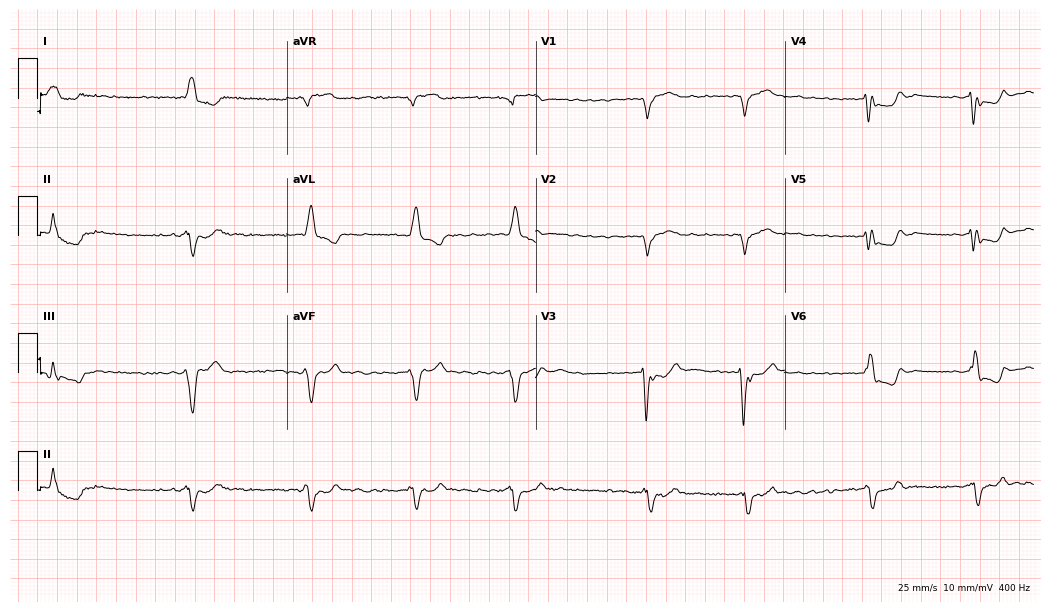
Standard 12-lead ECG recorded from a male patient, 73 years old (10.2-second recording at 400 Hz). The tracing shows left bundle branch block, atrial fibrillation.